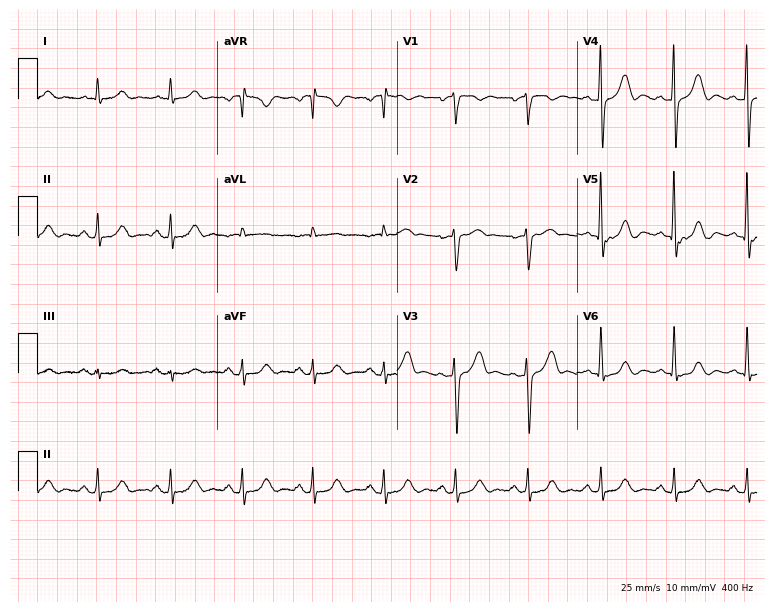
ECG (7.3-second recording at 400 Hz) — a male patient, 67 years old. Screened for six findings — first-degree AV block, right bundle branch block (RBBB), left bundle branch block (LBBB), sinus bradycardia, atrial fibrillation (AF), sinus tachycardia — none is recorded.